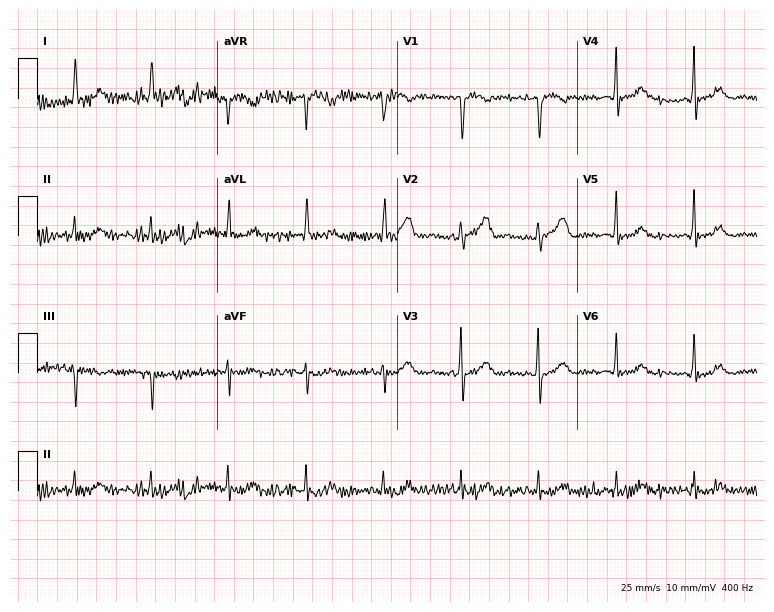
Standard 12-lead ECG recorded from an 83-year-old female patient (7.3-second recording at 400 Hz). None of these six findings is recorded: first-degree AV block, right bundle branch block, left bundle branch block, sinus bradycardia, atrial fibrillation, sinus tachycardia.